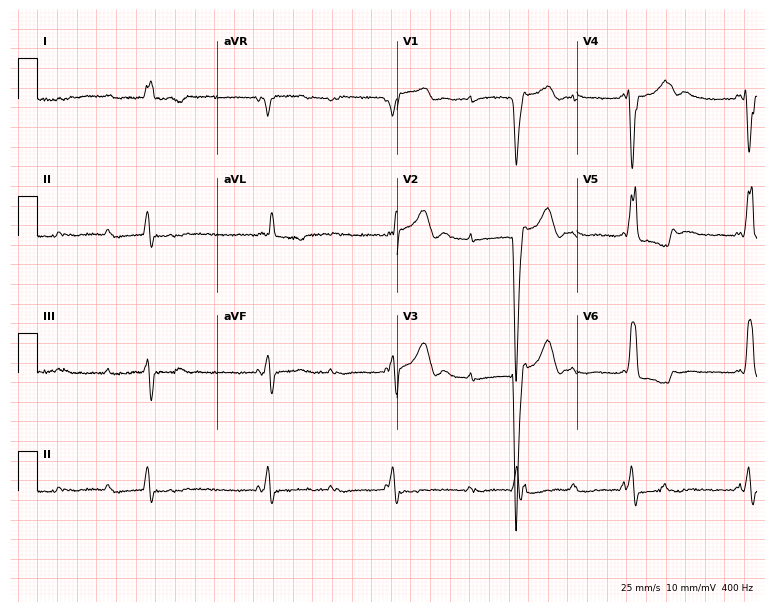
Electrocardiogram (7.3-second recording at 400 Hz), a female patient, 77 years old. Of the six screened findings (first-degree AV block, right bundle branch block, left bundle branch block, sinus bradycardia, atrial fibrillation, sinus tachycardia), none is recorded.